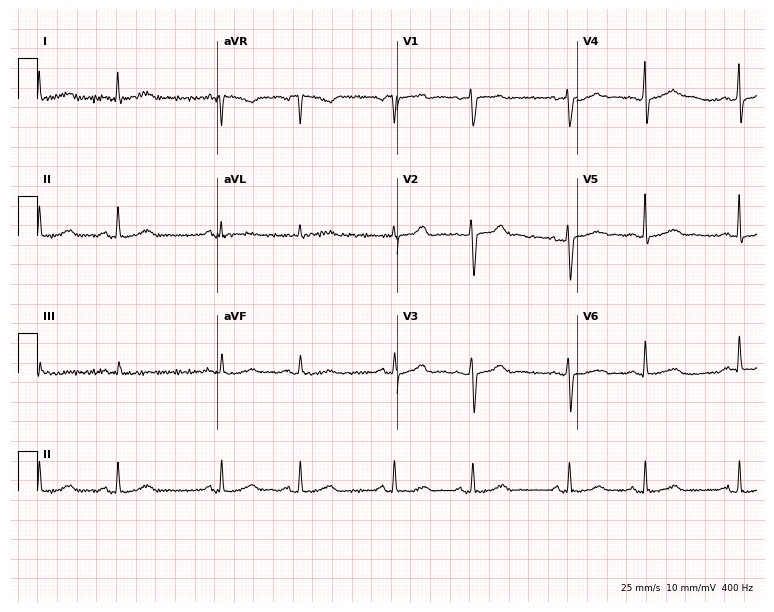
12-lead ECG from a woman, 51 years old. Screened for six findings — first-degree AV block, right bundle branch block, left bundle branch block, sinus bradycardia, atrial fibrillation, sinus tachycardia — none is recorded.